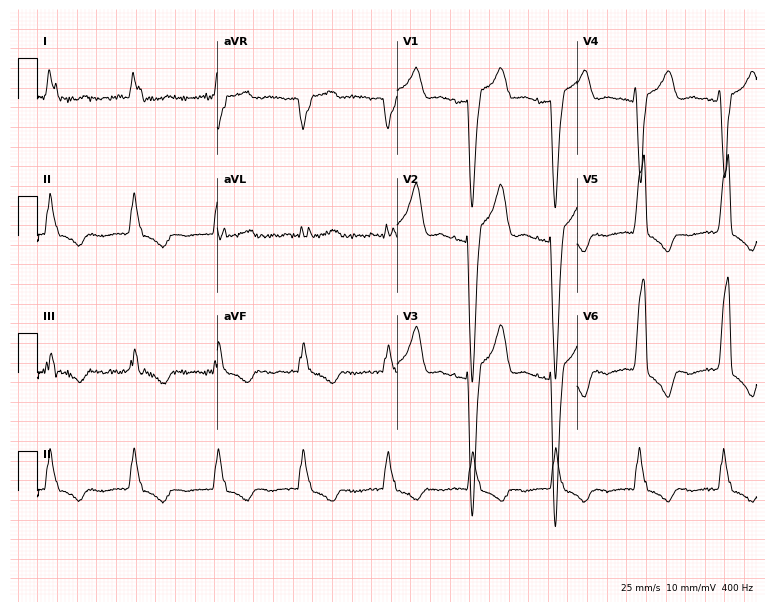
ECG — a 64-year-old female. Findings include left bundle branch block.